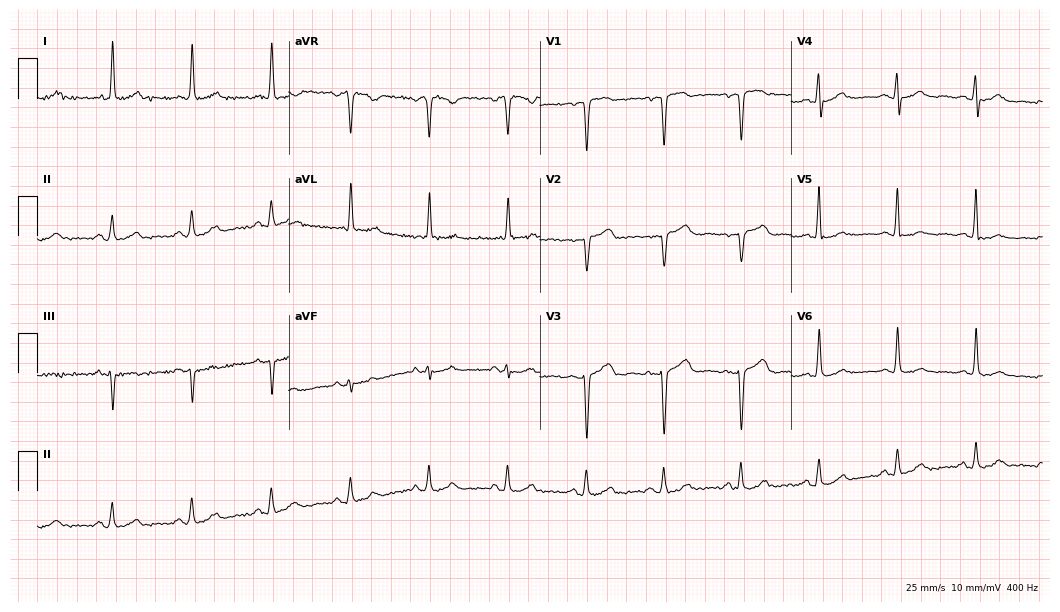
12-lead ECG from a woman, 72 years old. Recorded interpretation: within normal limits.